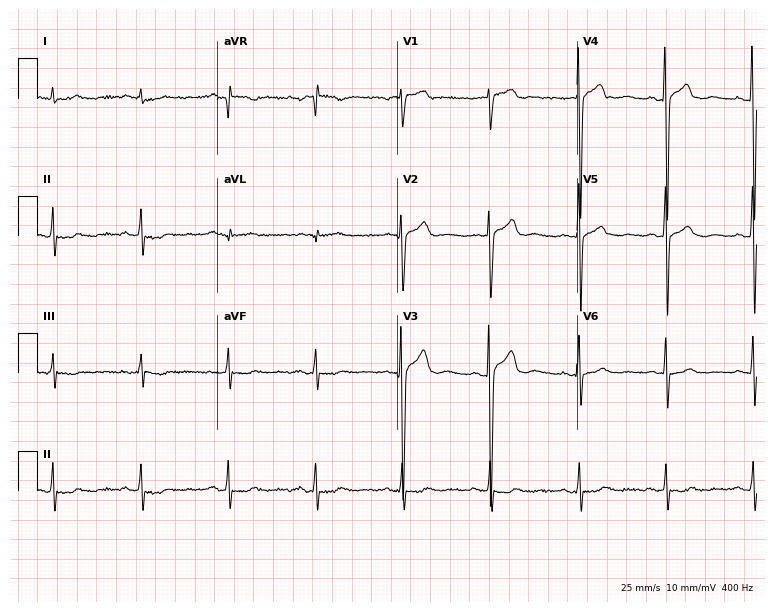
12-lead ECG from a male patient, 23 years old. No first-degree AV block, right bundle branch block (RBBB), left bundle branch block (LBBB), sinus bradycardia, atrial fibrillation (AF) or sinus tachycardia recorded for this tracing.